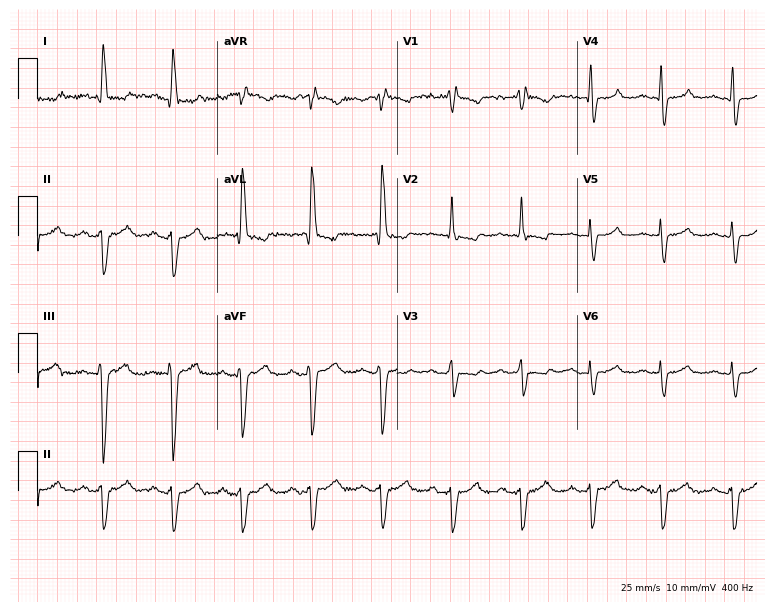
Standard 12-lead ECG recorded from a woman, 69 years old. The tracing shows right bundle branch block.